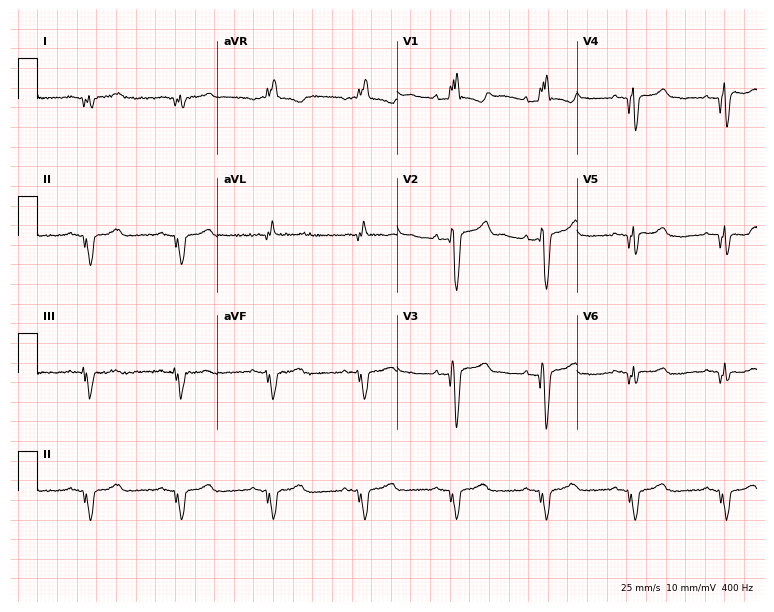
12-lead ECG (7.3-second recording at 400 Hz) from a 62-year-old man. Screened for six findings — first-degree AV block, right bundle branch block, left bundle branch block, sinus bradycardia, atrial fibrillation, sinus tachycardia — none is recorded. Findings outside these six are not listed.